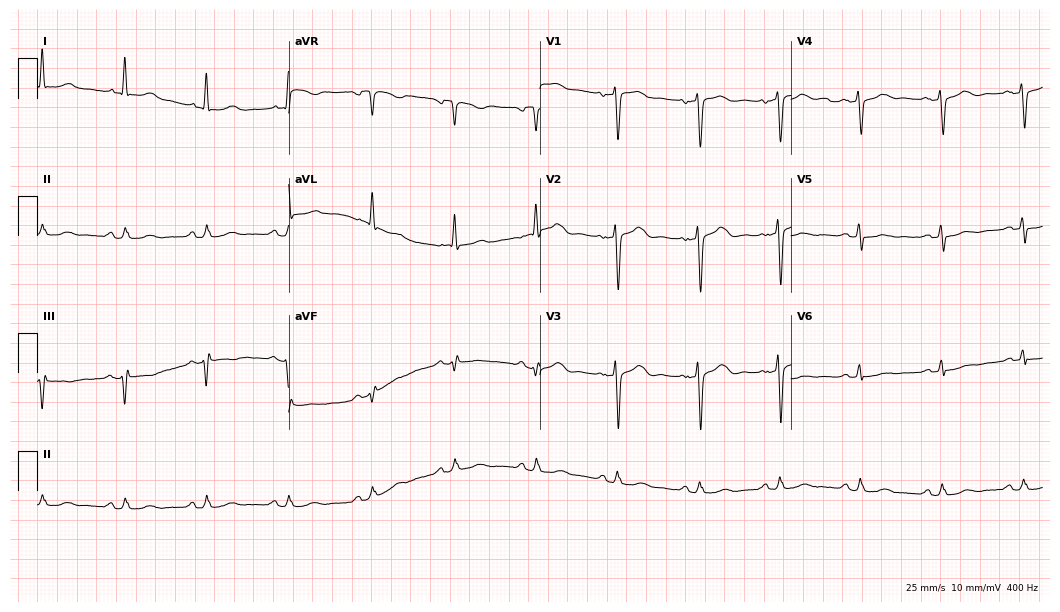
Electrocardiogram, a 77-year-old woman. Overall reading on record: normal ECG.